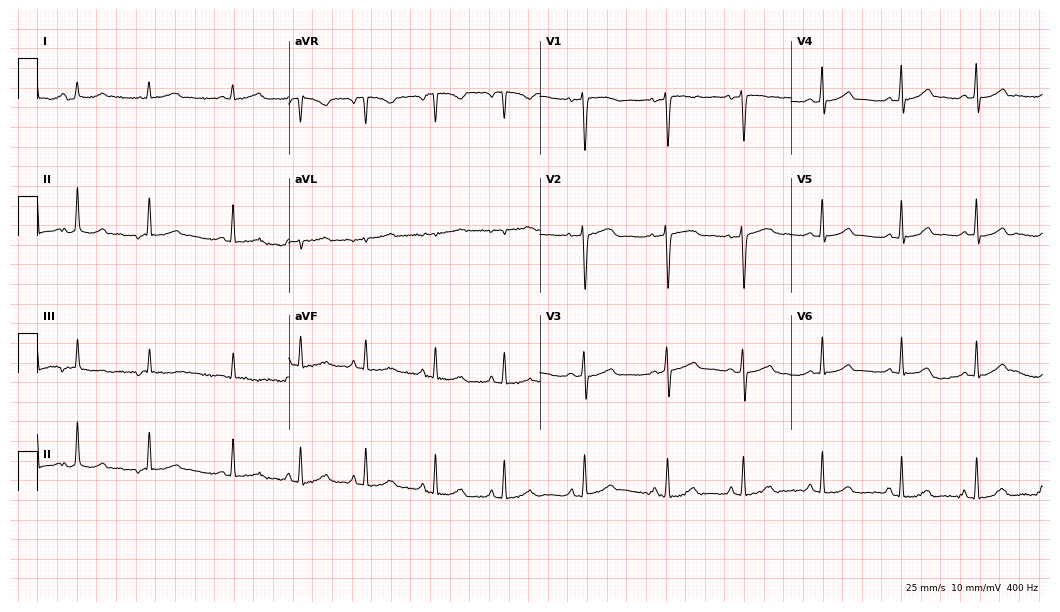
12-lead ECG (10.2-second recording at 400 Hz) from a female, 39 years old. Labelled as a normal ECG.